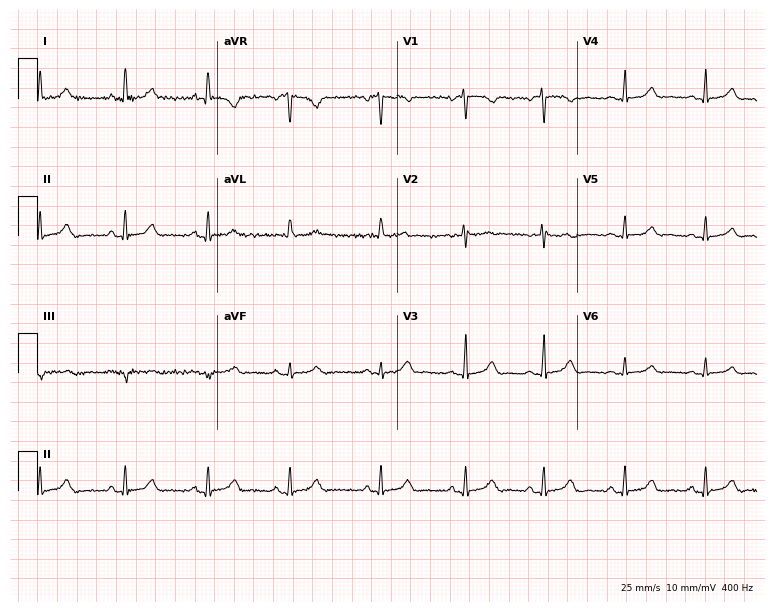
12-lead ECG from a woman, 37 years old. Recorded interpretation: within normal limits.